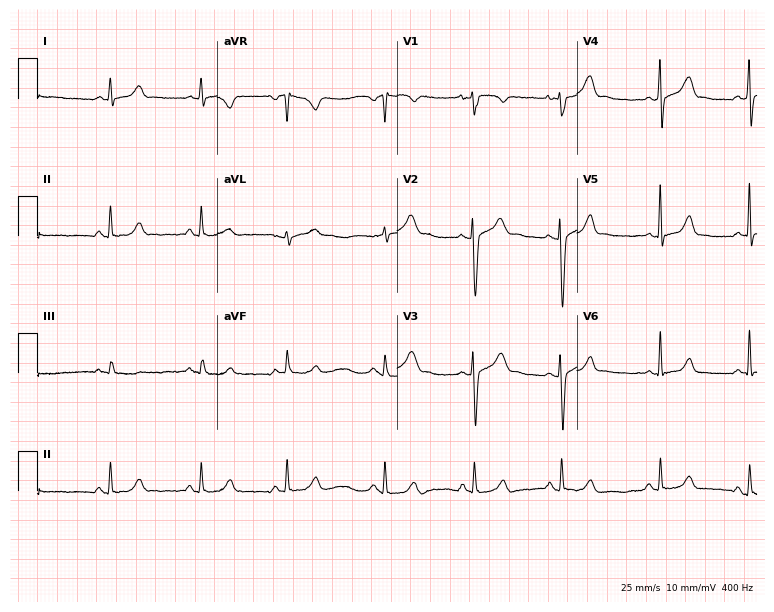
Standard 12-lead ECG recorded from a female, 22 years old (7.3-second recording at 400 Hz). Read as a normal ECG.